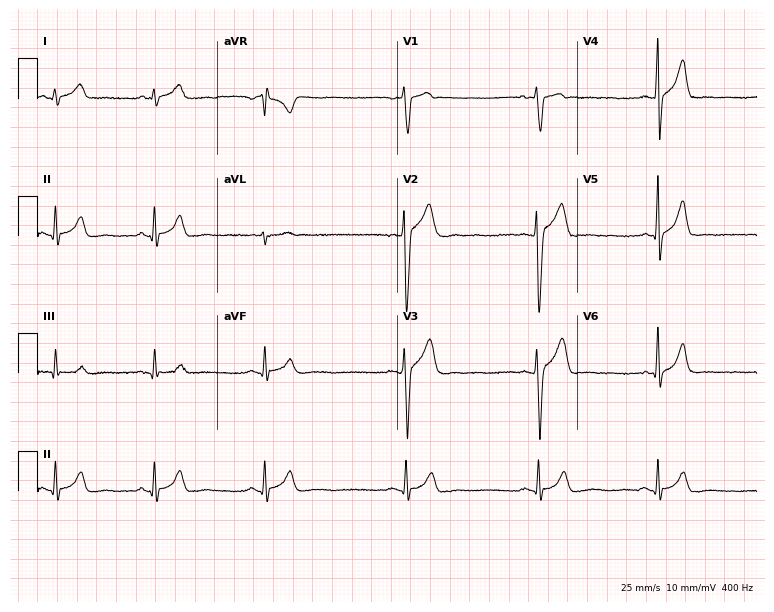
Standard 12-lead ECG recorded from a 23-year-old male (7.3-second recording at 400 Hz). Read as a normal ECG.